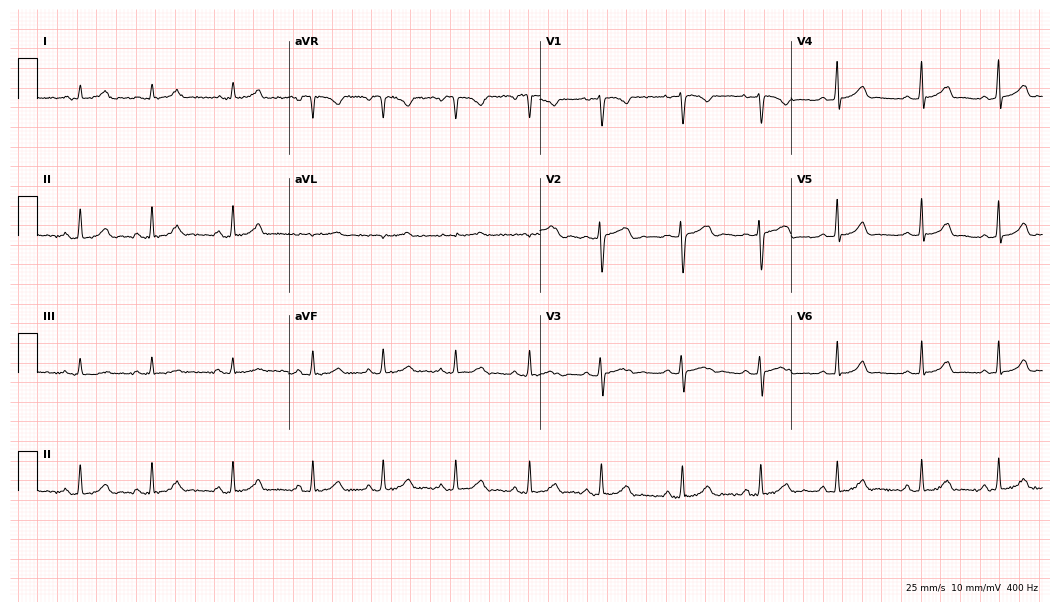
12-lead ECG (10.2-second recording at 400 Hz) from an 18-year-old female patient. Labelled as a normal ECG.